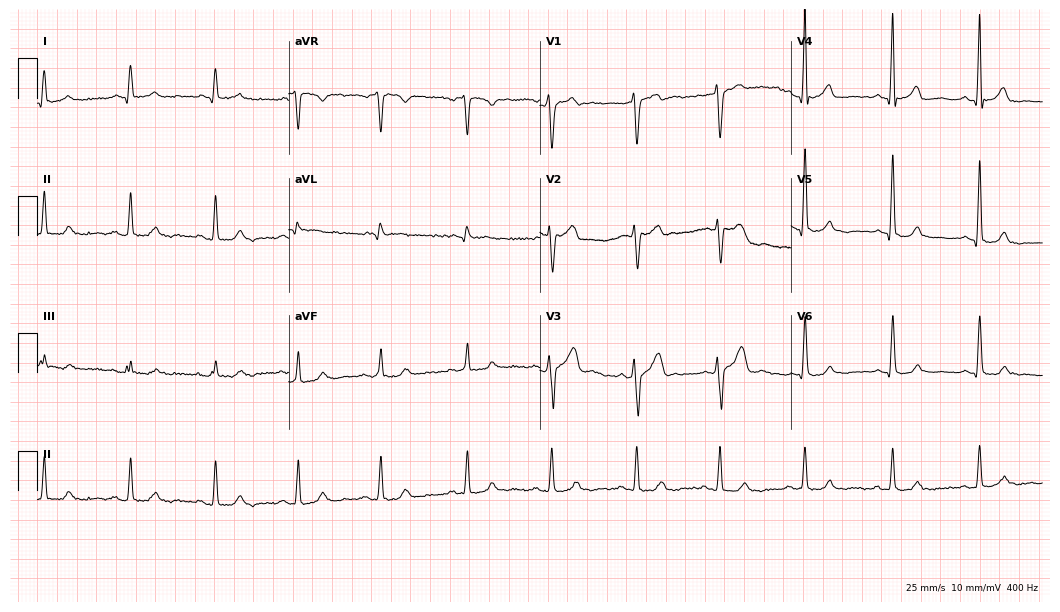
Standard 12-lead ECG recorded from a 74-year-old male. Read as a normal ECG.